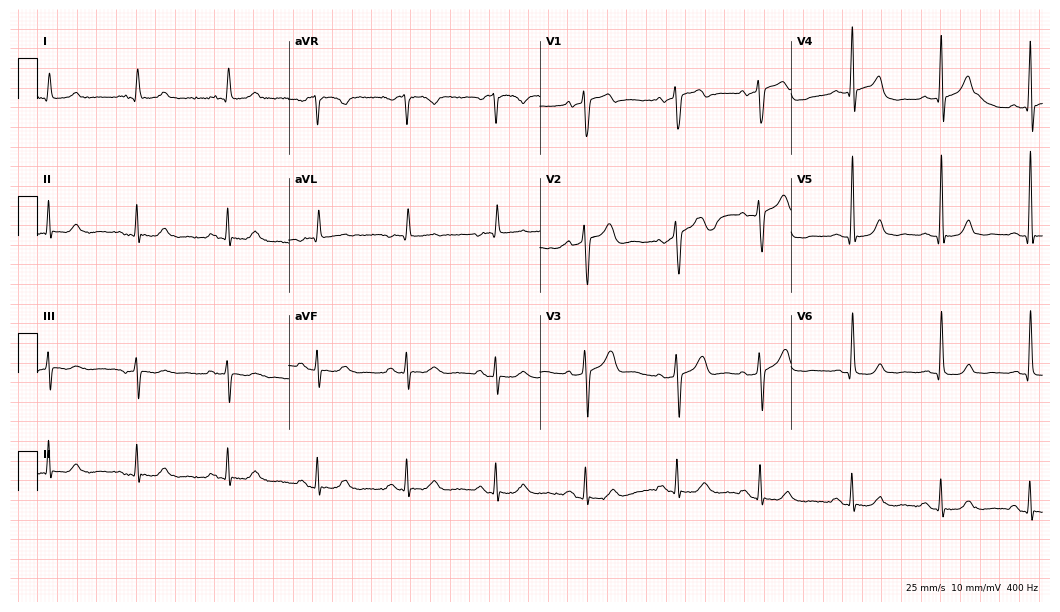
Resting 12-lead electrocardiogram. Patient: a 78-year-old male. None of these six findings is recorded: first-degree AV block, right bundle branch block, left bundle branch block, sinus bradycardia, atrial fibrillation, sinus tachycardia.